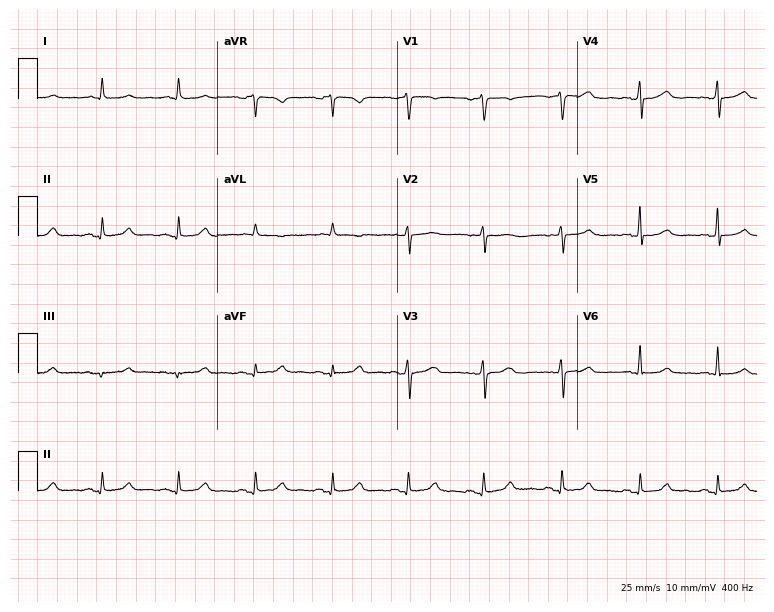
Resting 12-lead electrocardiogram. Patient: a male, 77 years old. Read as a normal ECG.